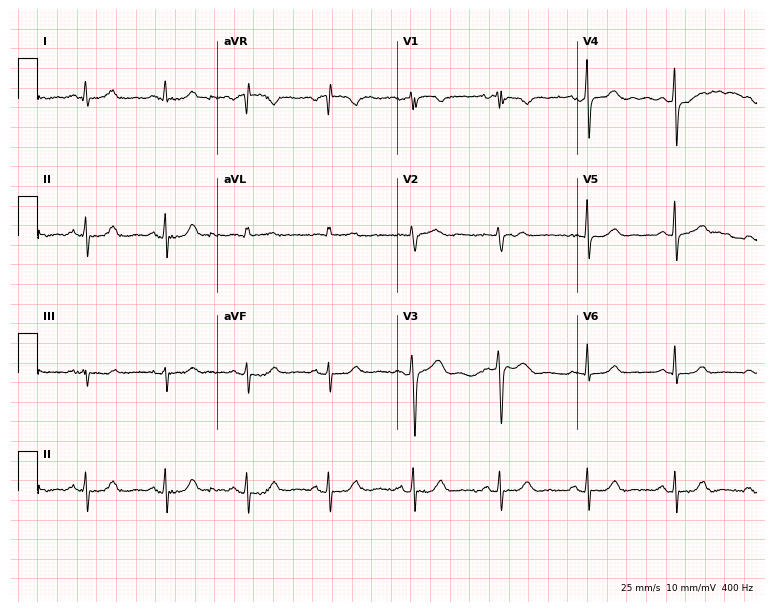
12-lead ECG (7.3-second recording at 400 Hz) from a female, 64 years old. Labelled as a normal ECG.